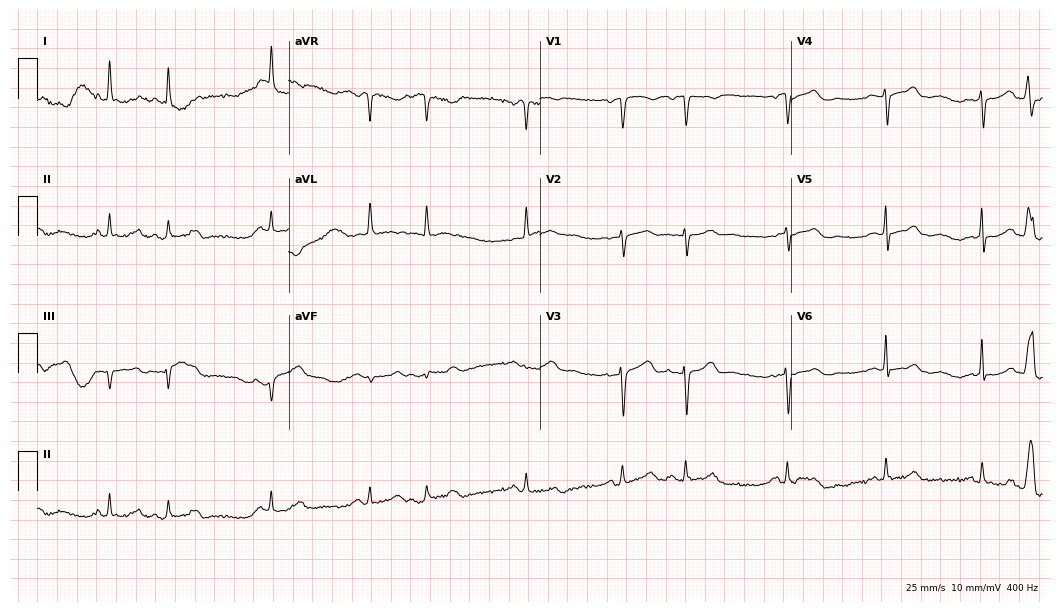
Standard 12-lead ECG recorded from a woman, 82 years old. None of these six findings is recorded: first-degree AV block, right bundle branch block, left bundle branch block, sinus bradycardia, atrial fibrillation, sinus tachycardia.